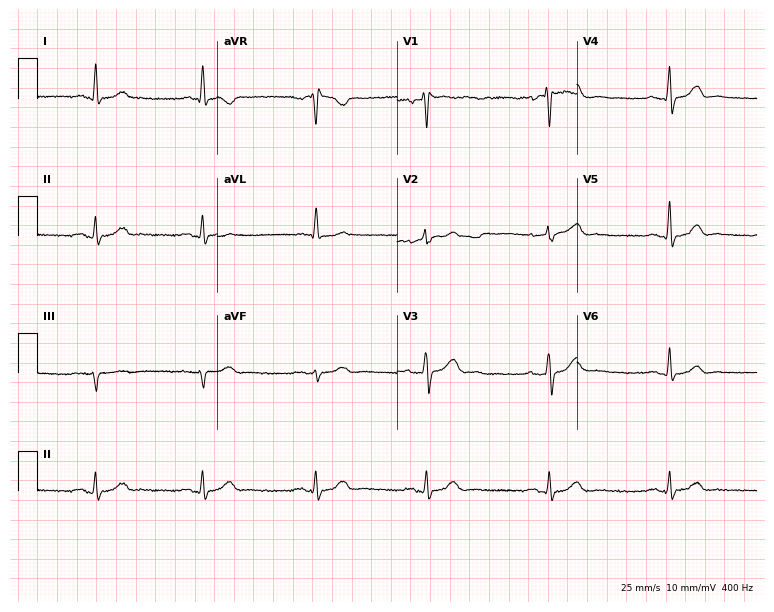
Standard 12-lead ECG recorded from a man, 56 years old. None of these six findings is recorded: first-degree AV block, right bundle branch block, left bundle branch block, sinus bradycardia, atrial fibrillation, sinus tachycardia.